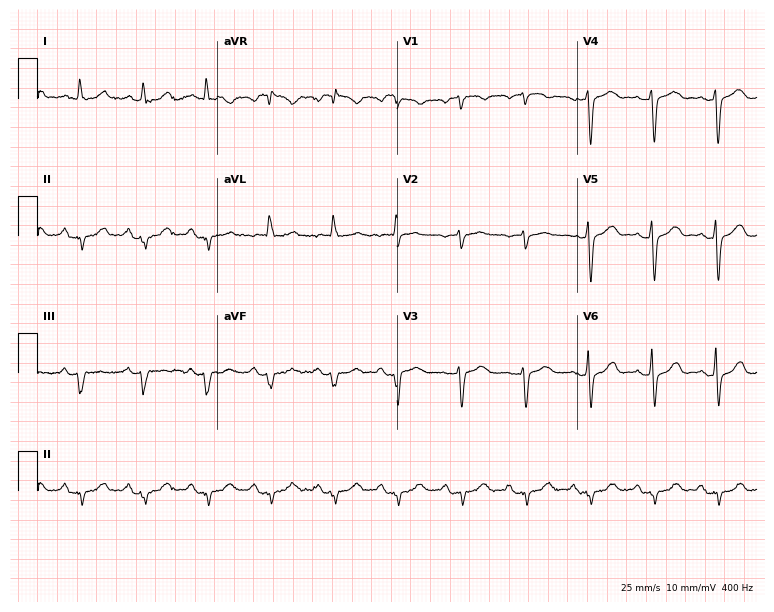
Standard 12-lead ECG recorded from a female patient, 80 years old. None of these six findings is recorded: first-degree AV block, right bundle branch block (RBBB), left bundle branch block (LBBB), sinus bradycardia, atrial fibrillation (AF), sinus tachycardia.